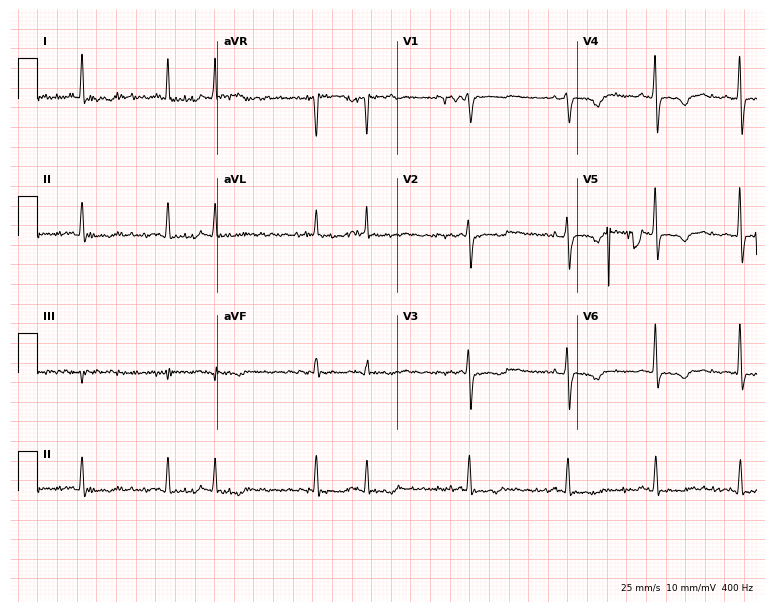
Standard 12-lead ECG recorded from a 56-year-old woman (7.3-second recording at 400 Hz). None of these six findings is recorded: first-degree AV block, right bundle branch block, left bundle branch block, sinus bradycardia, atrial fibrillation, sinus tachycardia. Findings outside these six are not listed.